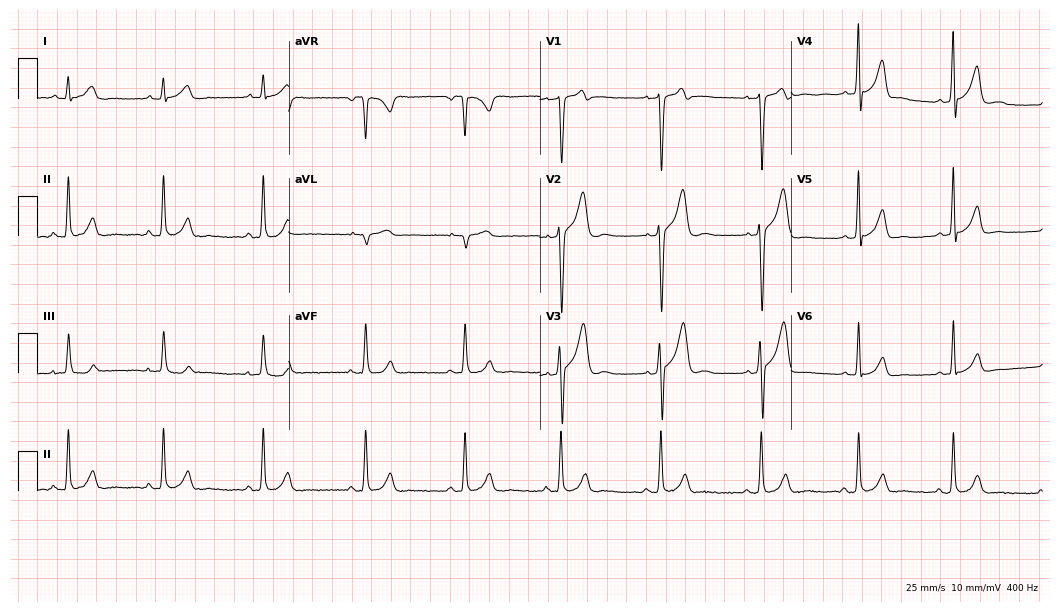
12-lead ECG from a 21-year-old man. Labelled as a normal ECG.